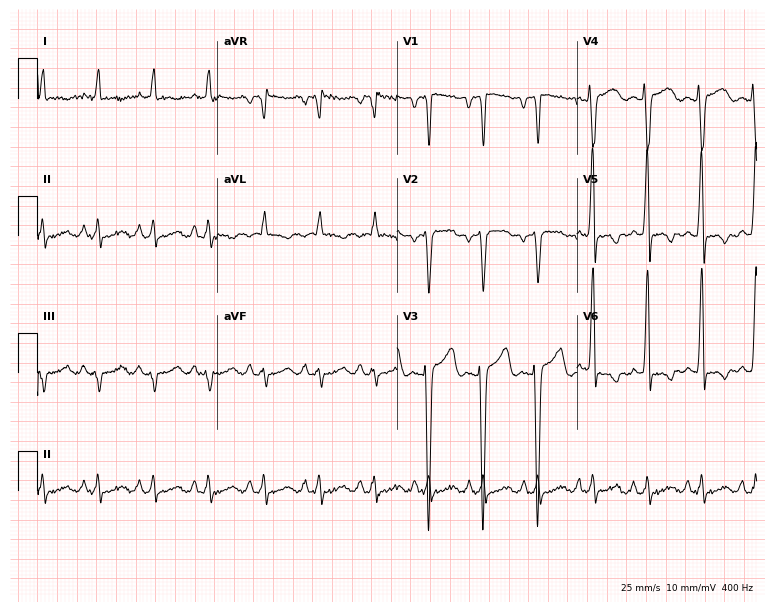
Standard 12-lead ECG recorded from a 37-year-old male patient. None of these six findings is recorded: first-degree AV block, right bundle branch block, left bundle branch block, sinus bradycardia, atrial fibrillation, sinus tachycardia. Findings outside these six are not listed.